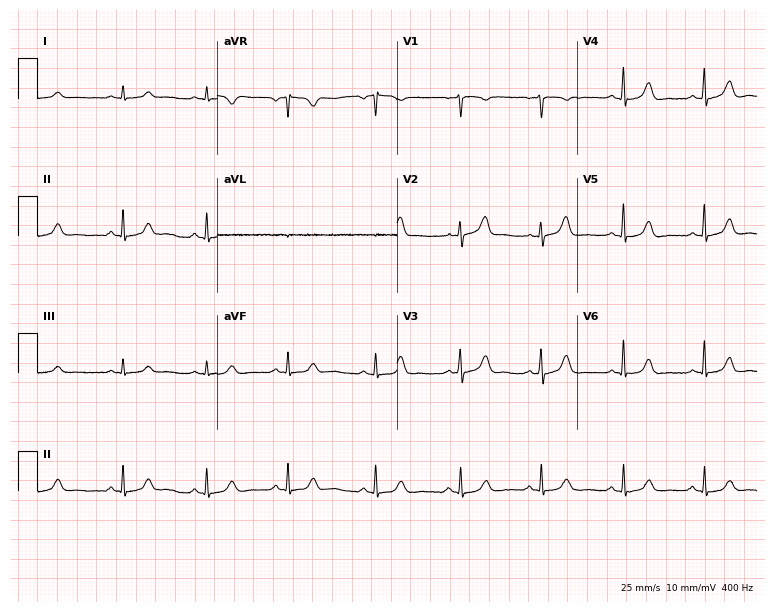
Standard 12-lead ECG recorded from a woman, 30 years old (7.3-second recording at 400 Hz). None of these six findings is recorded: first-degree AV block, right bundle branch block, left bundle branch block, sinus bradycardia, atrial fibrillation, sinus tachycardia.